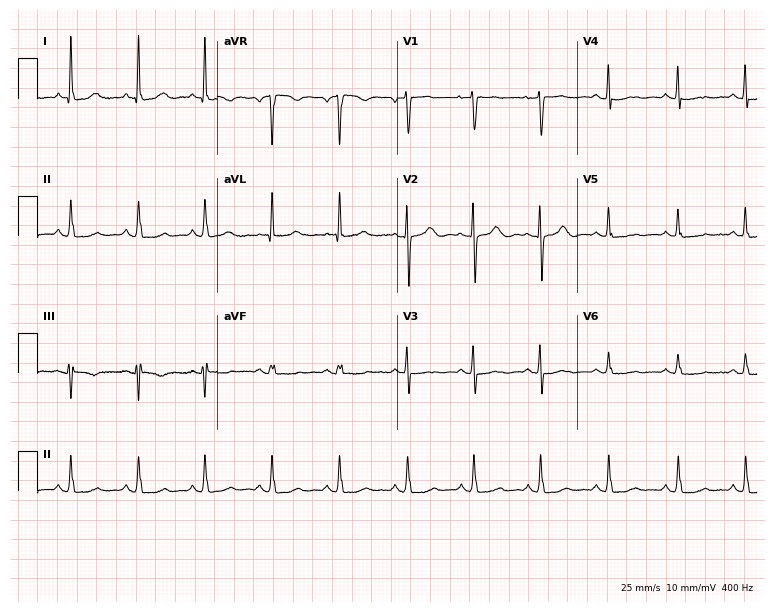
12-lead ECG from a 77-year-old woman. Recorded interpretation: within normal limits.